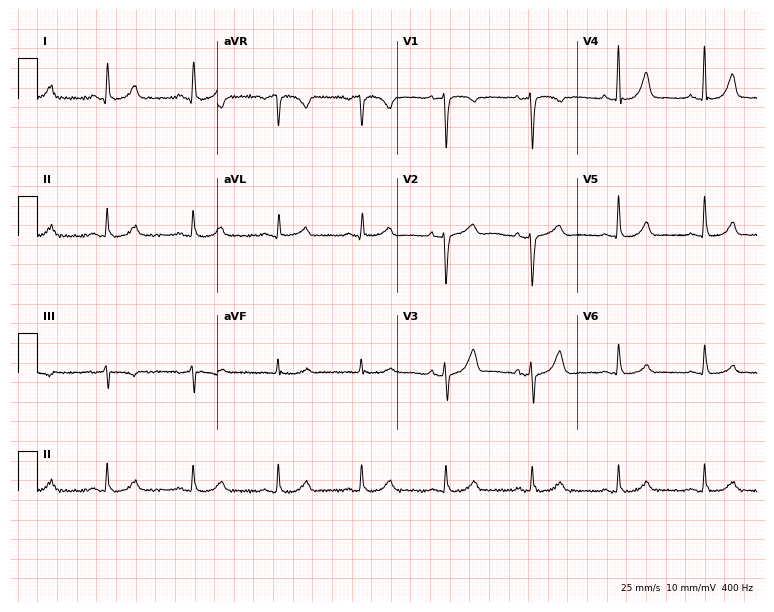
Electrocardiogram, a 45-year-old female. Overall reading on record: normal ECG.